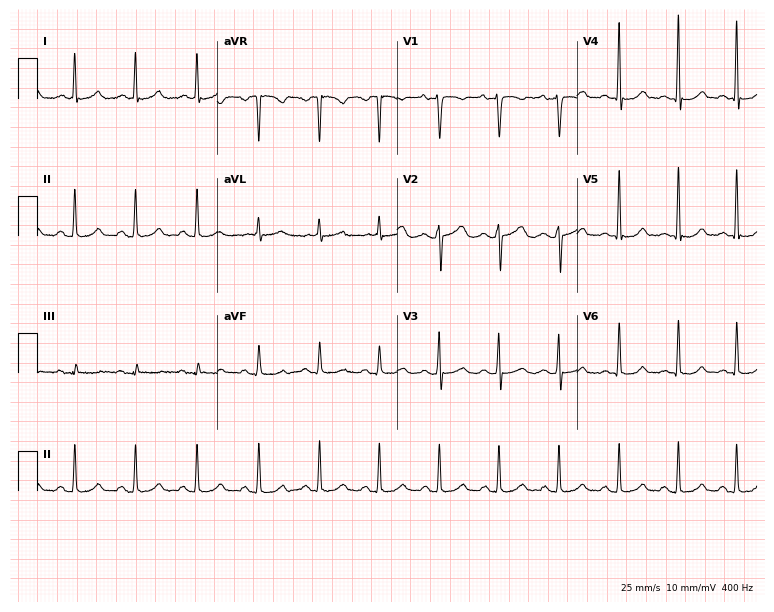
Standard 12-lead ECG recorded from a 32-year-old woman. Read as a normal ECG.